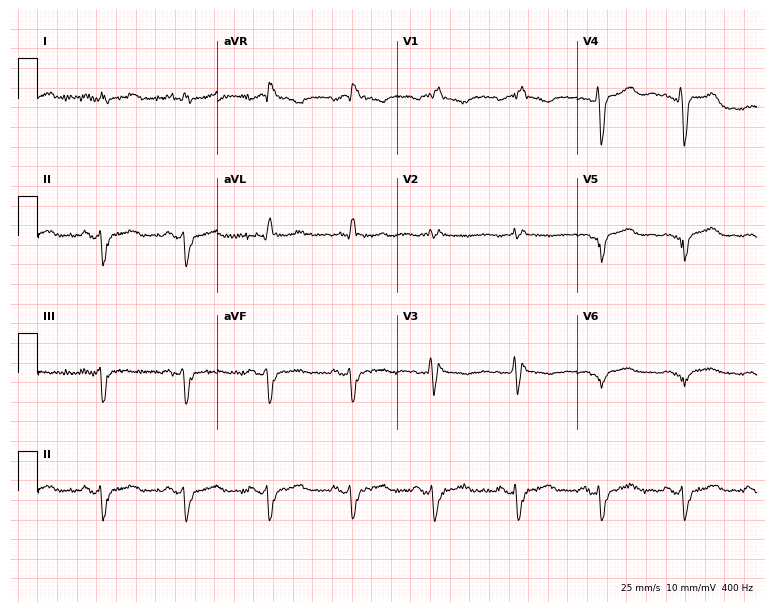
Standard 12-lead ECG recorded from a woman, 71 years old (7.3-second recording at 400 Hz). The tracing shows right bundle branch block (RBBB).